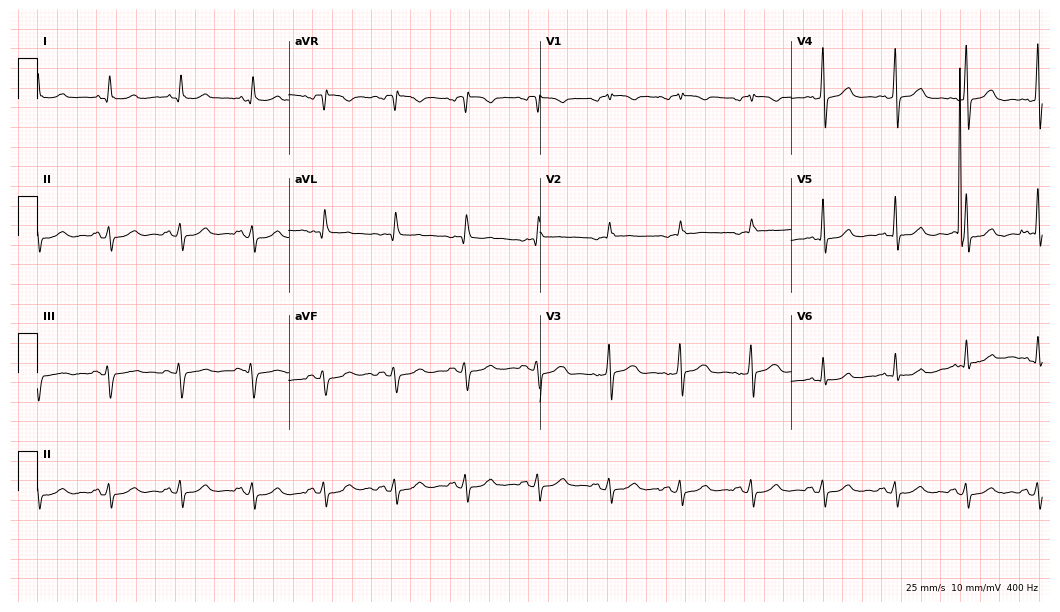
12-lead ECG from a female patient, 60 years old (10.2-second recording at 400 Hz). No first-degree AV block, right bundle branch block, left bundle branch block, sinus bradycardia, atrial fibrillation or sinus tachycardia recorded for this tracing. Findings outside these six are not listed.